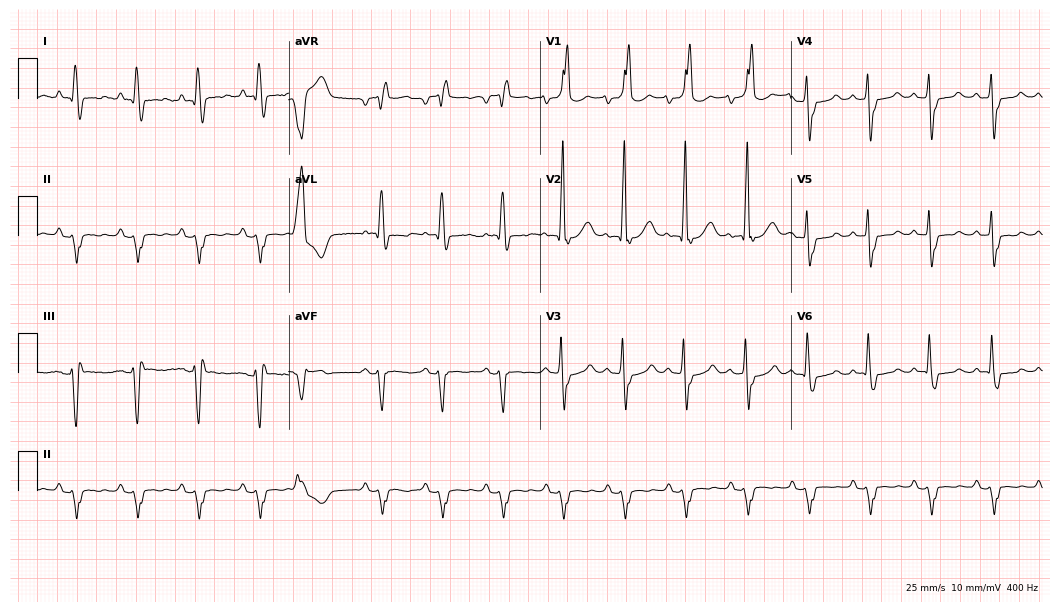
12-lead ECG (10.2-second recording at 400 Hz) from a 73-year-old male. Findings include right bundle branch block (RBBB).